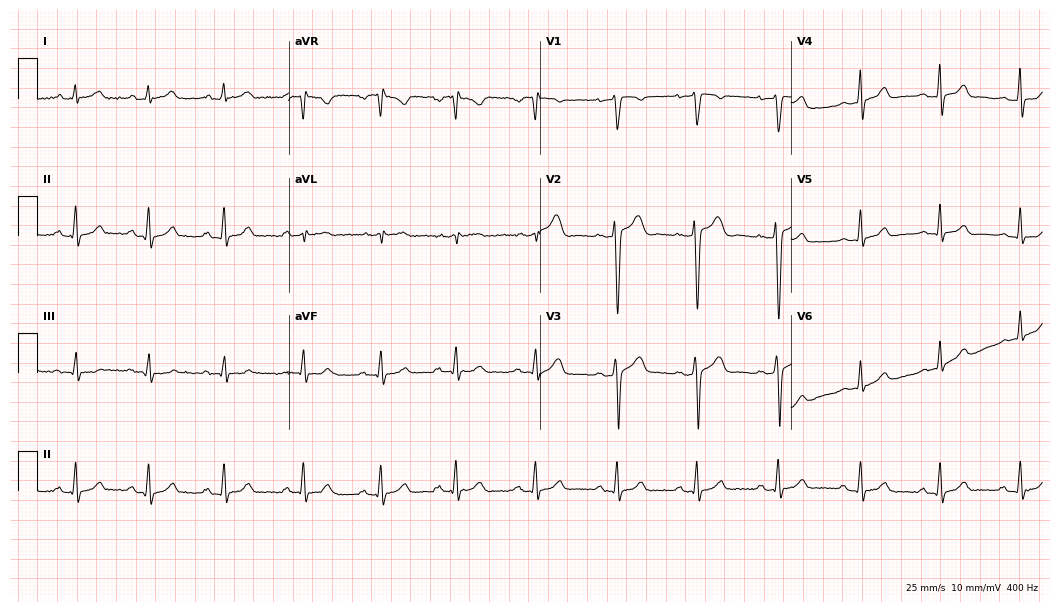
Standard 12-lead ECG recorded from a woman, 28 years old (10.2-second recording at 400 Hz). None of these six findings is recorded: first-degree AV block, right bundle branch block (RBBB), left bundle branch block (LBBB), sinus bradycardia, atrial fibrillation (AF), sinus tachycardia. Other findings, if any, are not listed.